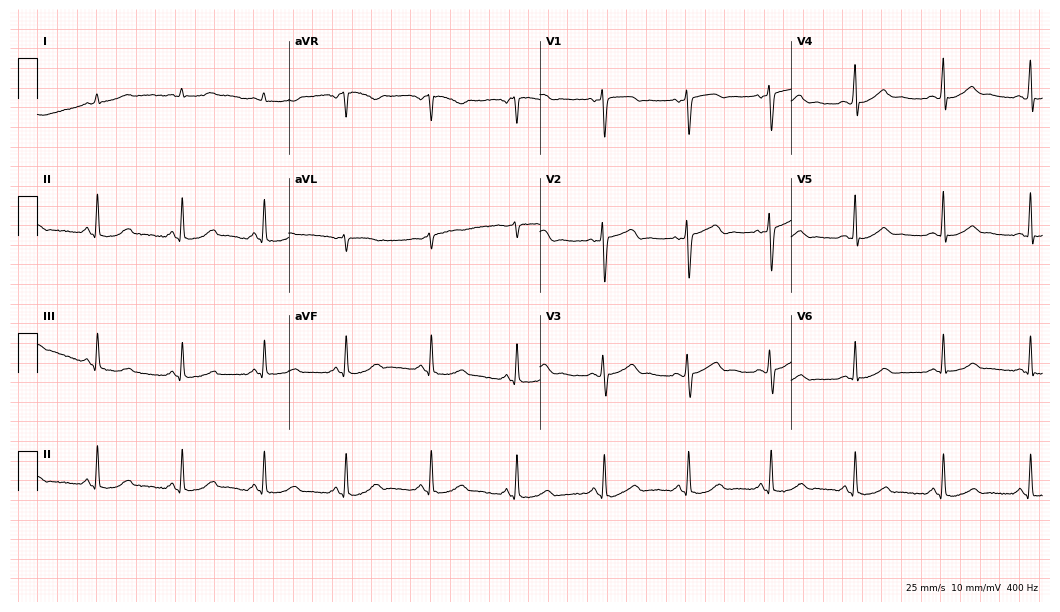
12-lead ECG from a 40-year-old woman (10.2-second recording at 400 Hz). Recorded interpretation: within normal limits.